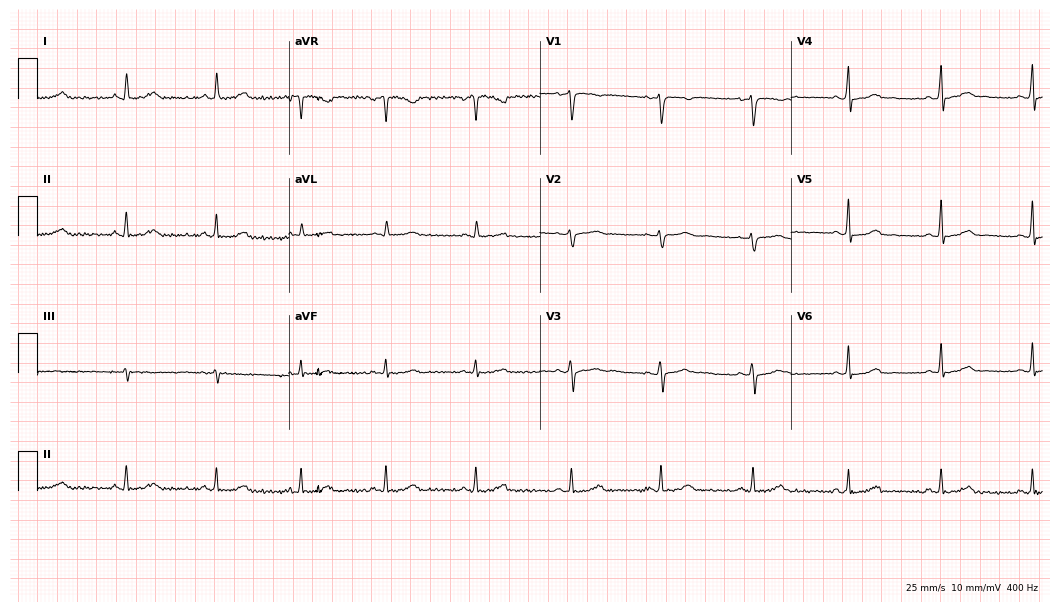
ECG — a female patient, 52 years old. Labelled as a normal ECG.